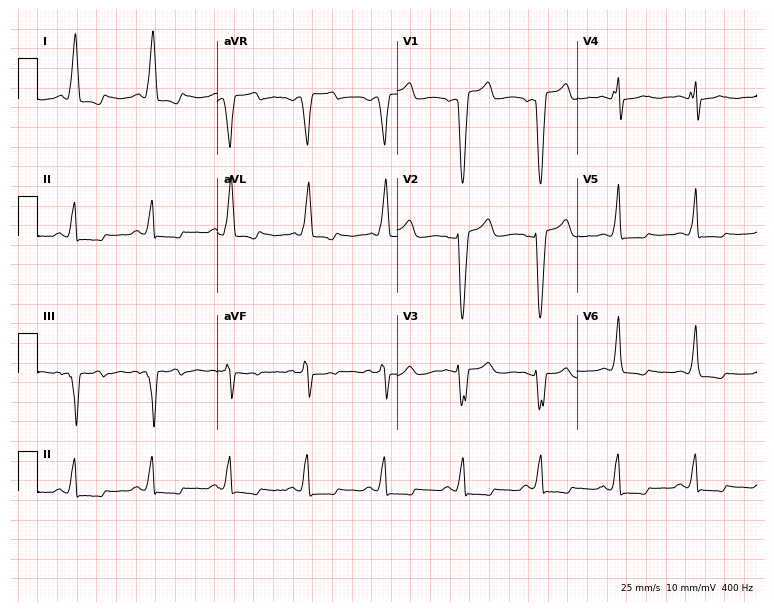
Standard 12-lead ECG recorded from a 68-year-old female patient. The tracing shows left bundle branch block (LBBB).